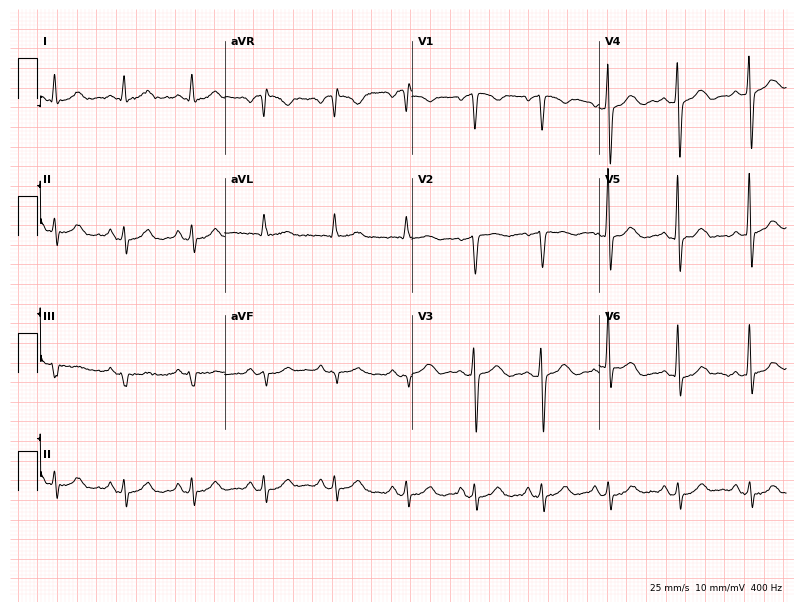
Resting 12-lead electrocardiogram (7.6-second recording at 400 Hz). Patient: a female, 50 years old. None of these six findings is recorded: first-degree AV block, right bundle branch block, left bundle branch block, sinus bradycardia, atrial fibrillation, sinus tachycardia.